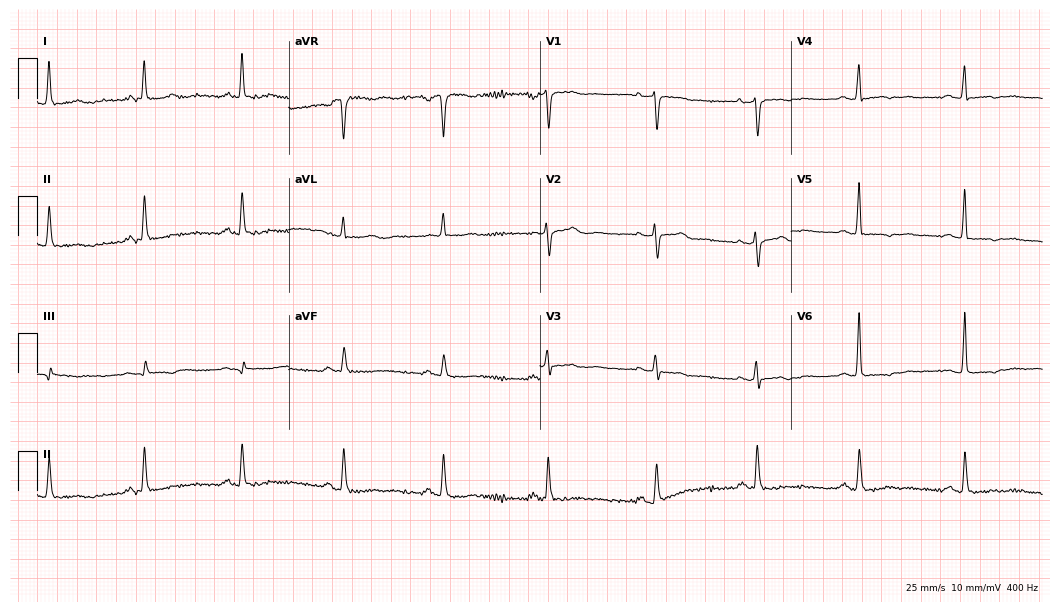
Standard 12-lead ECG recorded from a female patient, 50 years old. None of these six findings is recorded: first-degree AV block, right bundle branch block, left bundle branch block, sinus bradycardia, atrial fibrillation, sinus tachycardia.